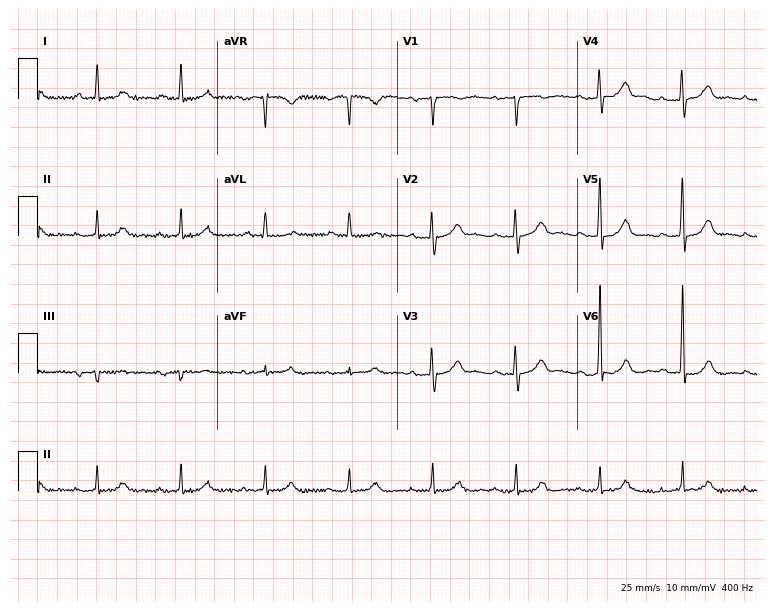
Electrocardiogram (7.3-second recording at 400 Hz), an 82-year-old man. Interpretation includes first-degree AV block.